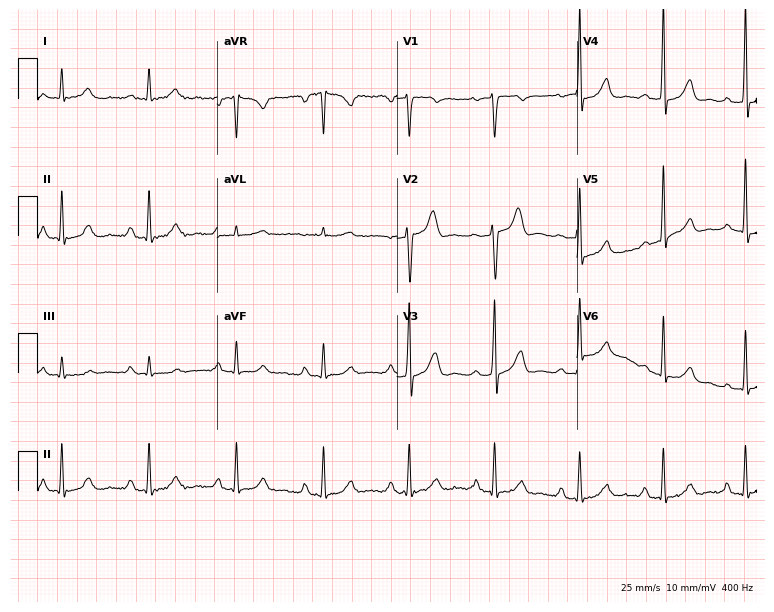
12-lead ECG (7.3-second recording at 400 Hz) from a 67-year-old man. Screened for six findings — first-degree AV block, right bundle branch block, left bundle branch block, sinus bradycardia, atrial fibrillation, sinus tachycardia — none is recorded.